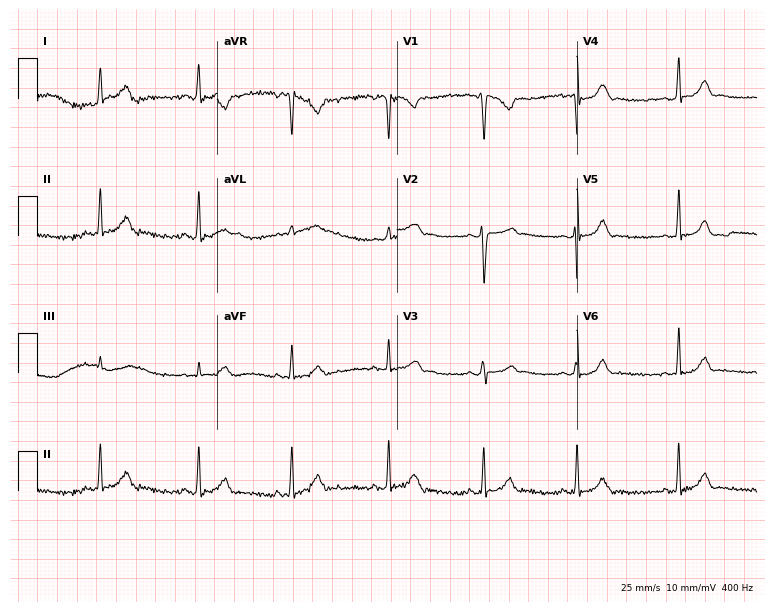
Standard 12-lead ECG recorded from a 22-year-old woman. Read as a normal ECG.